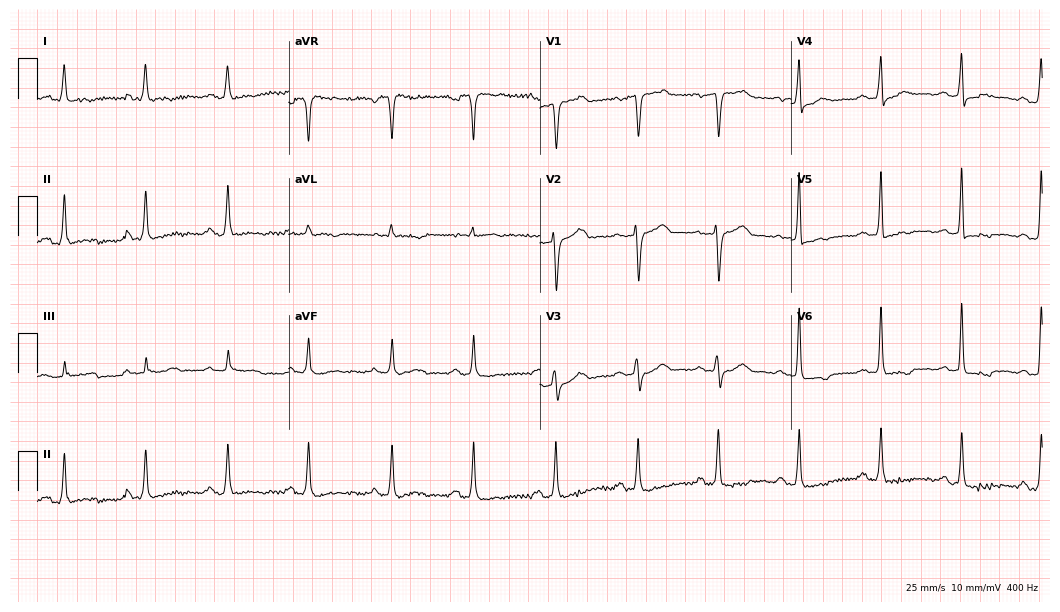
Standard 12-lead ECG recorded from a female, 65 years old. None of these six findings is recorded: first-degree AV block, right bundle branch block (RBBB), left bundle branch block (LBBB), sinus bradycardia, atrial fibrillation (AF), sinus tachycardia.